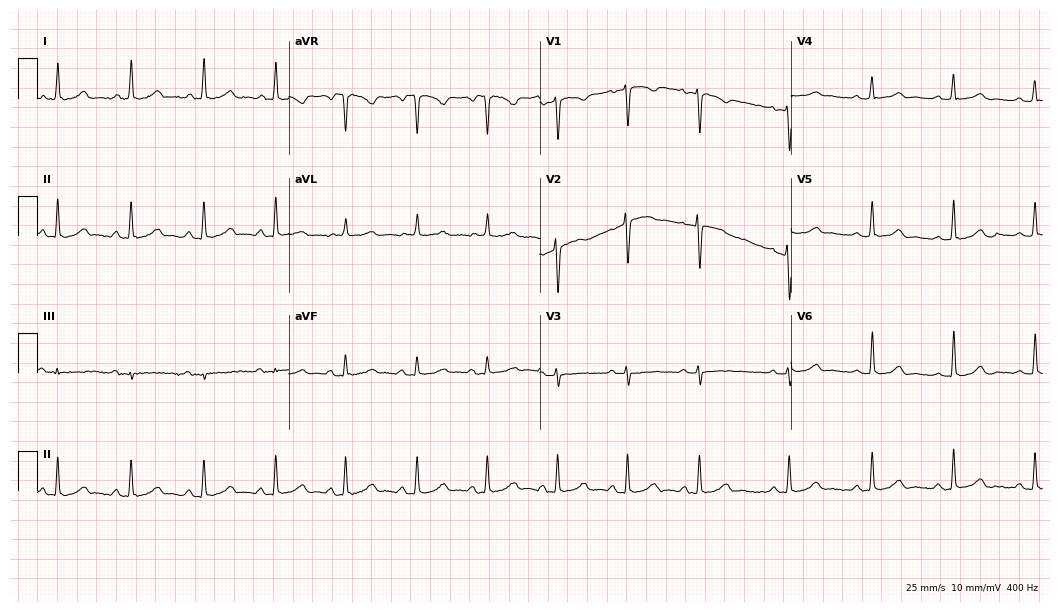
Resting 12-lead electrocardiogram. Patient: a 46-year-old female. Read as a normal ECG.